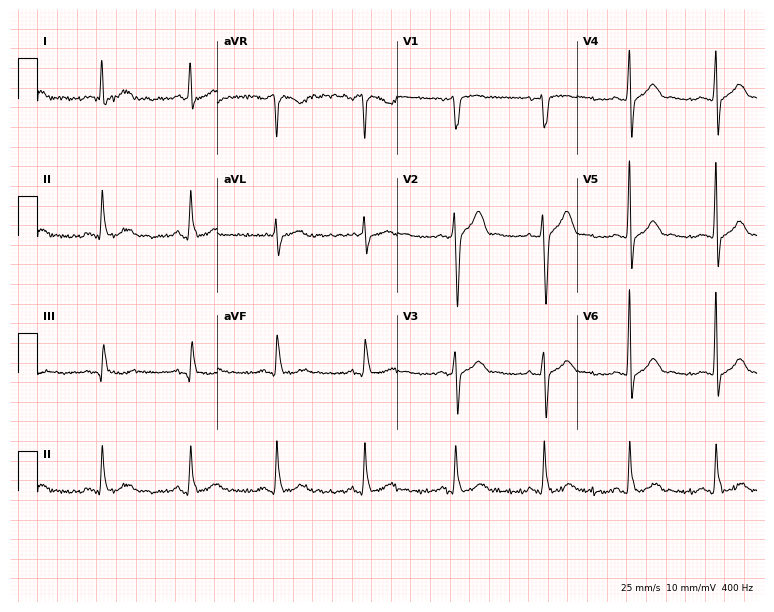
Resting 12-lead electrocardiogram. Patient: a 43-year-old male. None of these six findings is recorded: first-degree AV block, right bundle branch block, left bundle branch block, sinus bradycardia, atrial fibrillation, sinus tachycardia. Other findings, if any, are not listed.